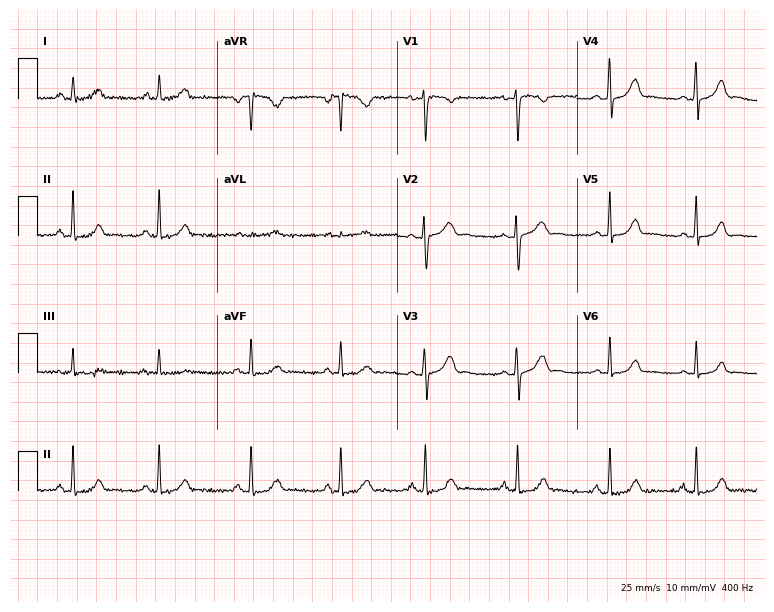
Standard 12-lead ECG recorded from a 25-year-old female patient. None of these six findings is recorded: first-degree AV block, right bundle branch block, left bundle branch block, sinus bradycardia, atrial fibrillation, sinus tachycardia. Other findings, if any, are not listed.